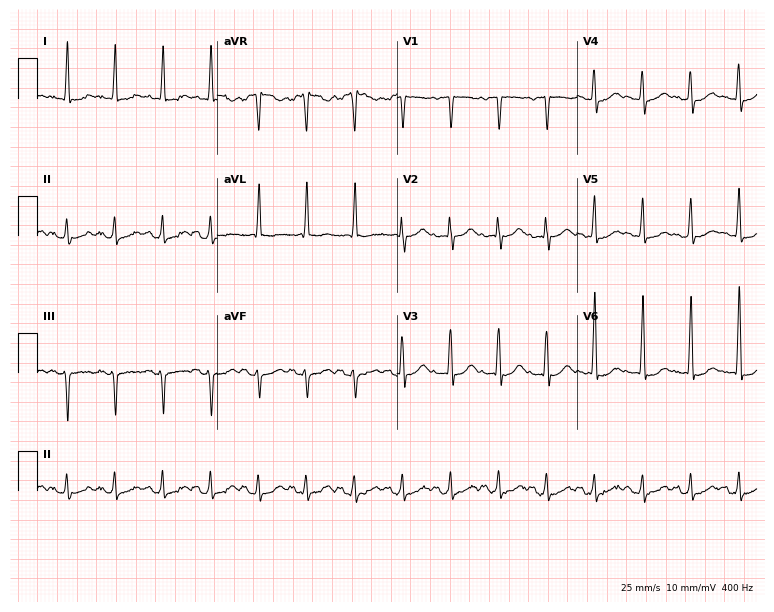
Electrocardiogram (7.3-second recording at 400 Hz), a 70-year-old woman. Of the six screened findings (first-degree AV block, right bundle branch block (RBBB), left bundle branch block (LBBB), sinus bradycardia, atrial fibrillation (AF), sinus tachycardia), none is recorded.